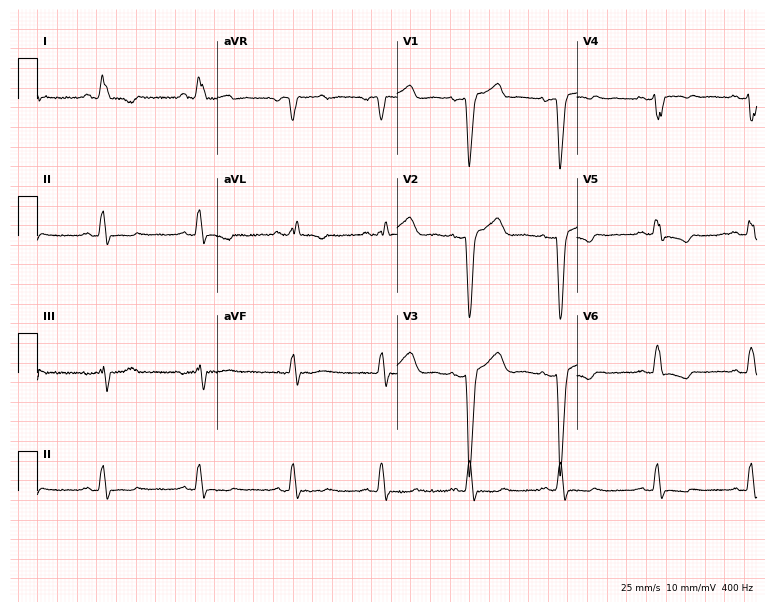
Resting 12-lead electrocardiogram. Patient: a female, 54 years old. None of these six findings is recorded: first-degree AV block, right bundle branch block, left bundle branch block, sinus bradycardia, atrial fibrillation, sinus tachycardia.